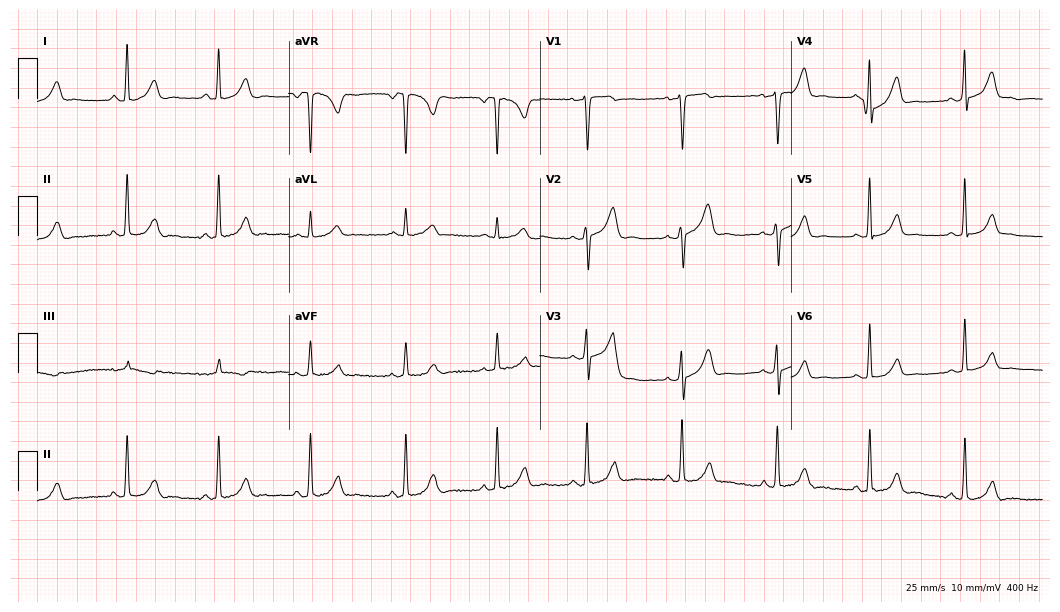
ECG — a 38-year-old female. Labelled as a normal ECG.